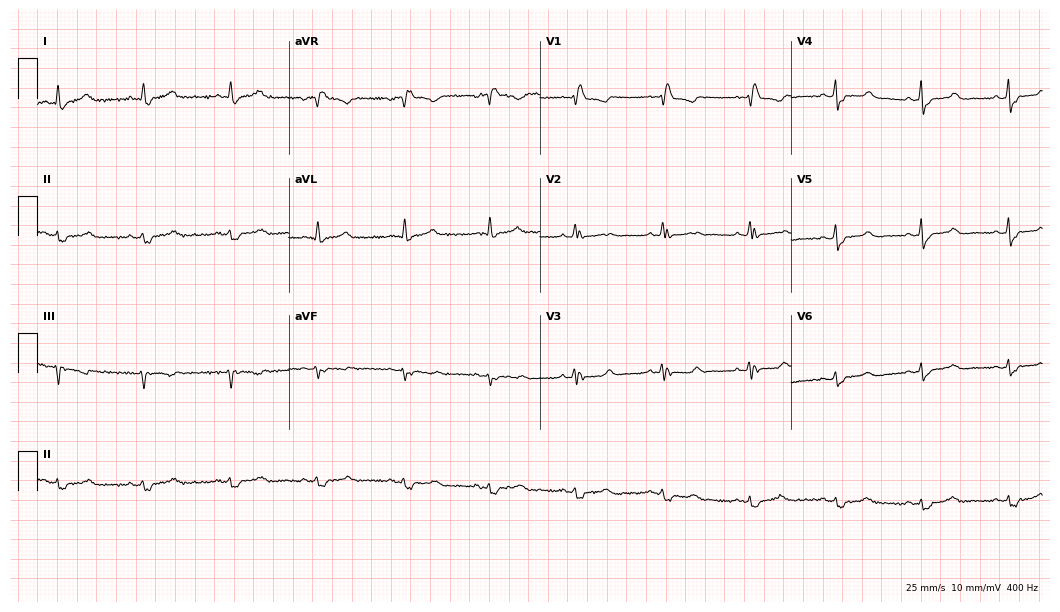
Electrocardiogram (10.2-second recording at 400 Hz), a 62-year-old female patient. Interpretation includes right bundle branch block.